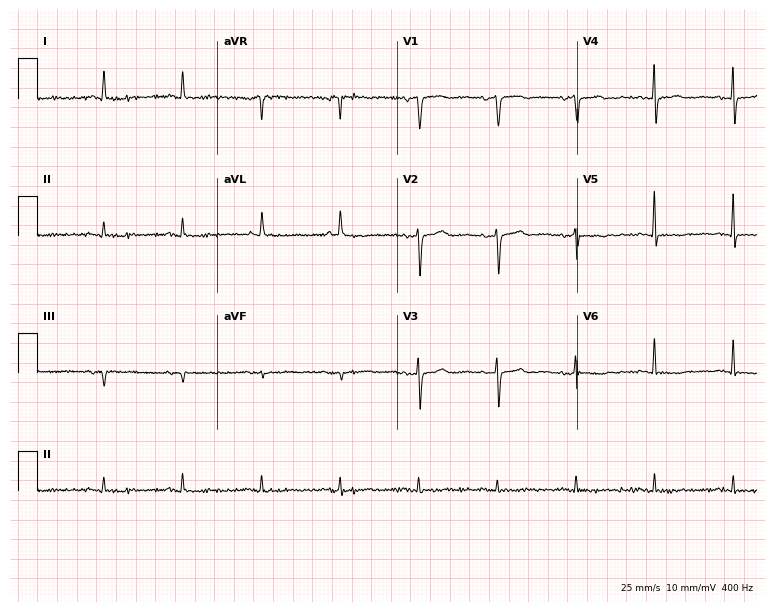
Resting 12-lead electrocardiogram. Patient: a 75-year-old female. None of these six findings is recorded: first-degree AV block, right bundle branch block, left bundle branch block, sinus bradycardia, atrial fibrillation, sinus tachycardia.